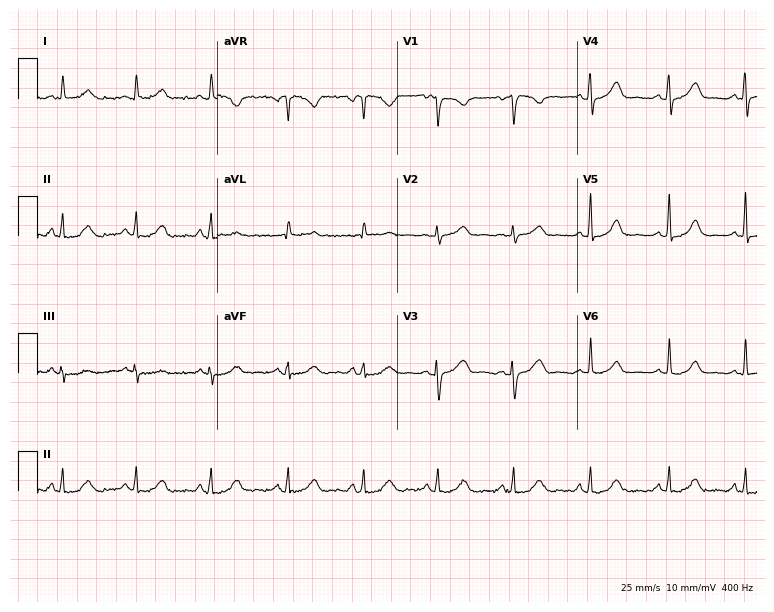
ECG (7.3-second recording at 400 Hz) — a female patient, 52 years old. Labelled as a normal ECG.